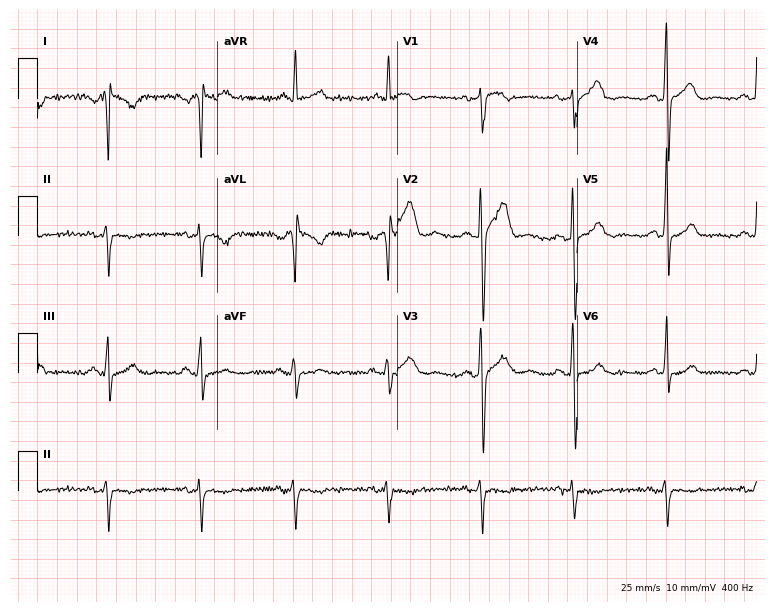
12-lead ECG (7.3-second recording at 400 Hz) from a 51-year-old male patient. Screened for six findings — first-degree AV block, right bundle branch block, left bundle branch block, sinus bradycardia, atrial fibrillation, sinus tachycardia — none is recorded. Only these six findings were labelled.